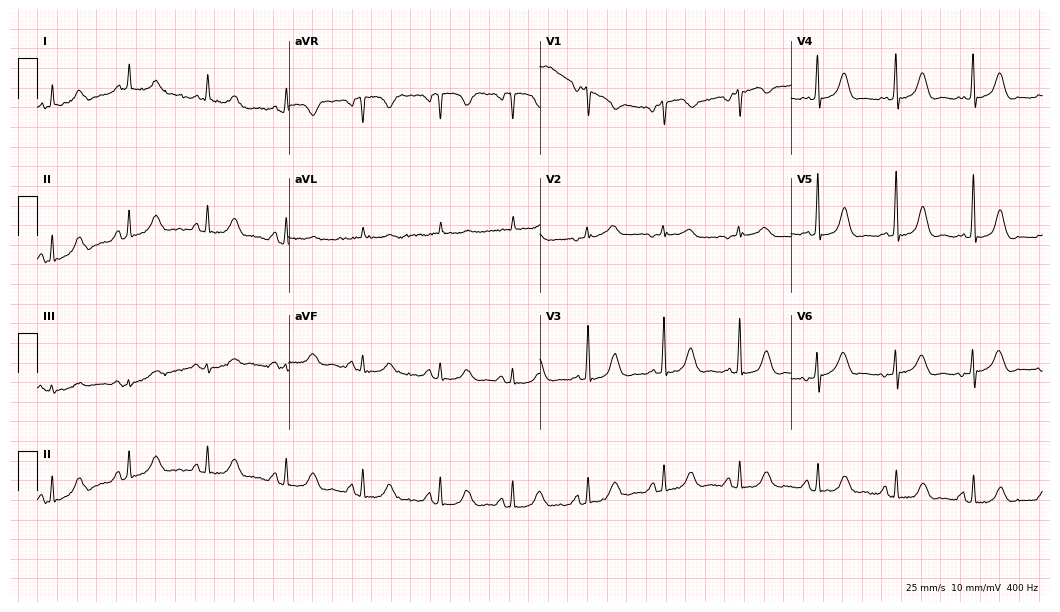
12-lead ECG from a female, 84 years old (10.2-second recording at 400 Hz). Recorded interpretation: within normal limits.